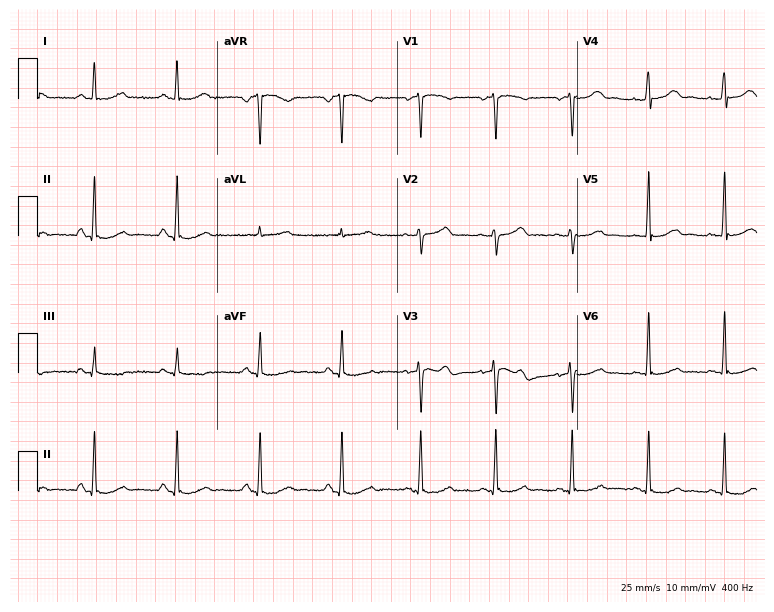
Resting 12-lead electrocardiogram. Patient: a 66-year-old female. Read as a normal ECG.